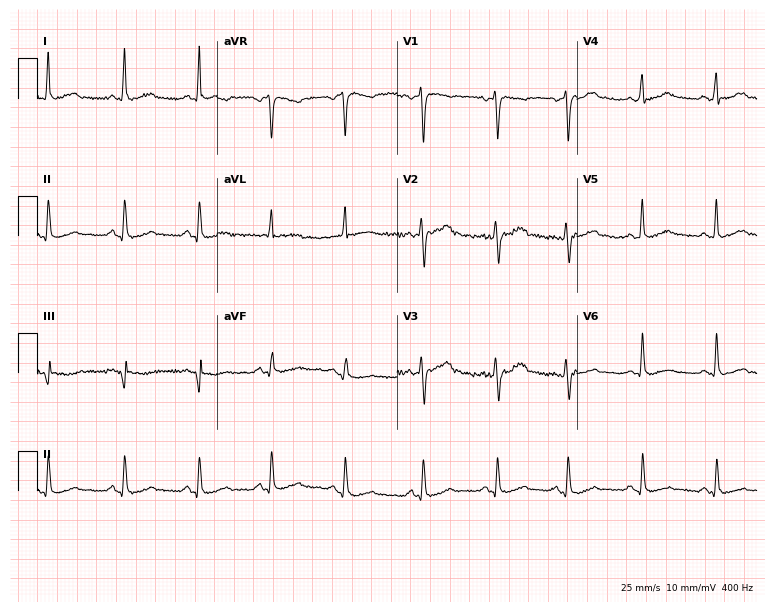
Standard 12-lead ECG recorded from a 39-year-old female (7.3-second recording at 400 Hz). None of these six findings is recorded: first-degree AV block, right bundle branch block, left bundle branch block, sinus bradycardia, atrial fibrillation, sinus tachycardia.